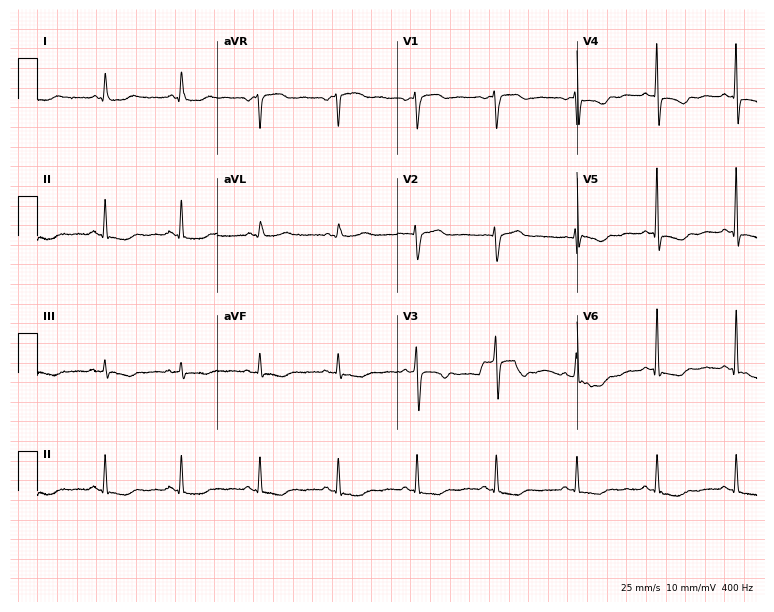
ECG (7.3-second recording at 400 Hz) — a 68-year-old female patient. Screened for six findings — first-degree AV block, right bundle branch block (RBBB), left bundle branch block (LBBB), sinus bradycardia, atrial fibrillation (AF), sinus tachycardia — none is recorded. Other findings, if any, are not listed.